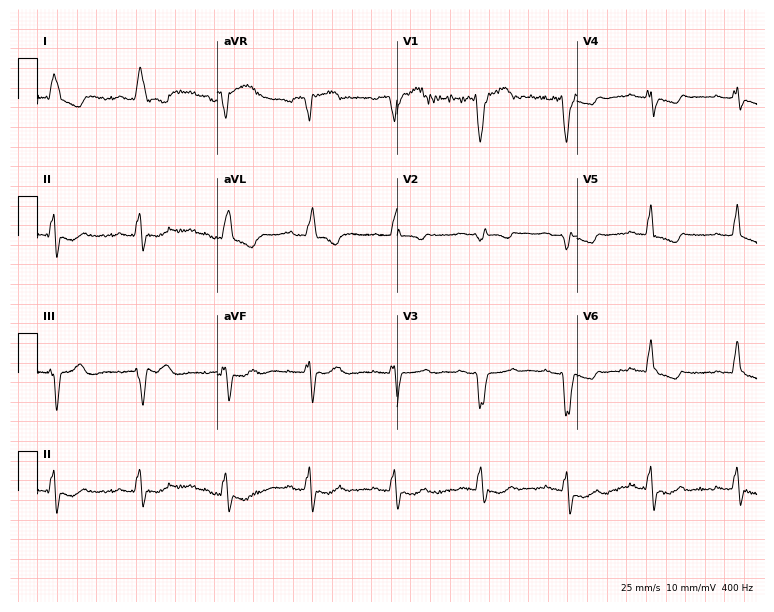
12-lead ECG (7.3-second recording at 400 Hz) from a 68-year-old woman. Screened for six findings — first-degree AV block, right bundle branch block, left bundle branch block, sinus bradycardia, atrial fibrillation, sinus tachycardia — none is recorded.